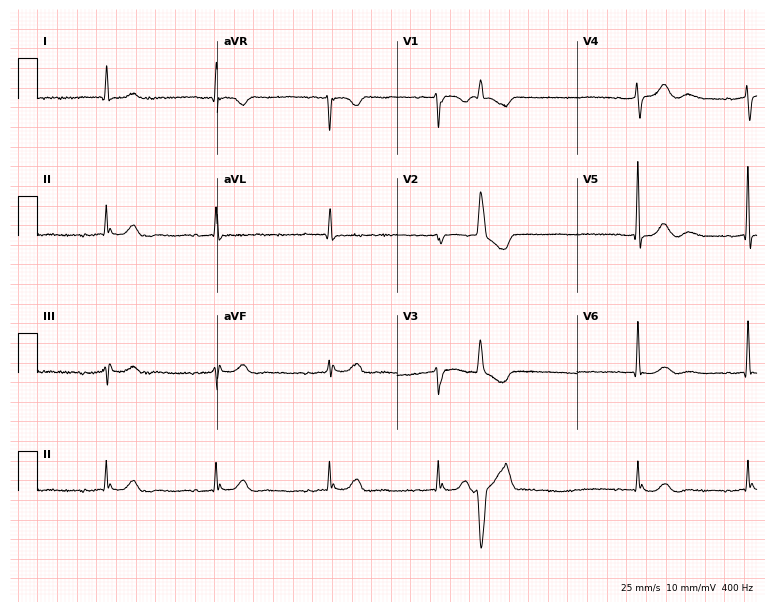
12-lead ECG (7.3-second recording at 400 Hz) from an 80-year-old female. Labelled as a normal ECG.